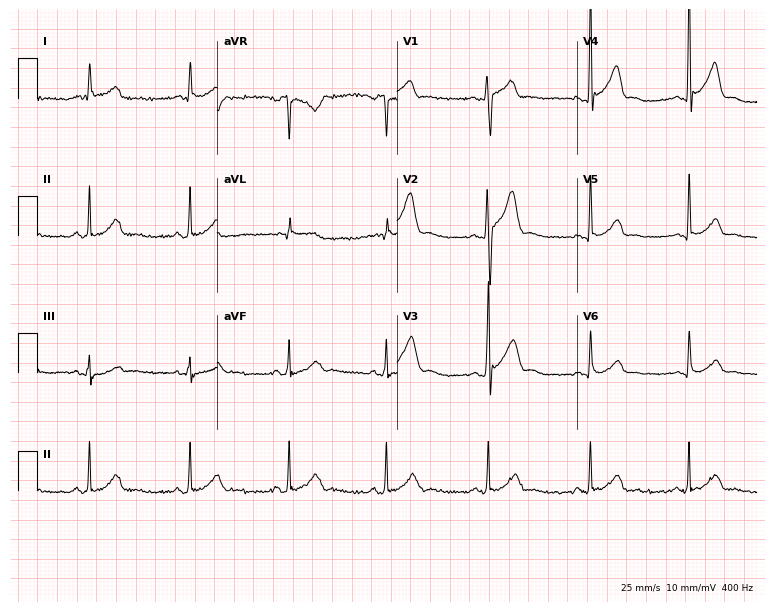
ECG (7.3-second recording at 400 Hz) — a 39-year-old male. Labelled as a normal ECG.